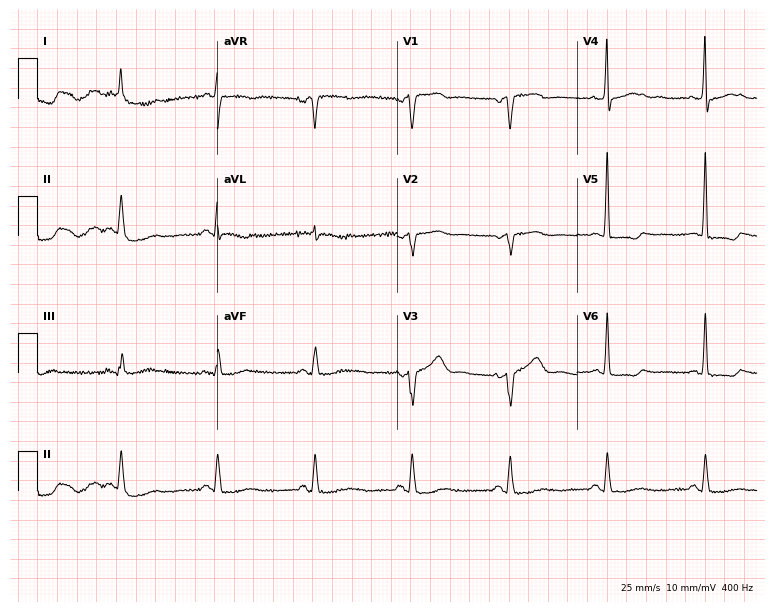
Resting 12-lead electrocardiogram. Patient: a 72-year-old woman. None of these six findings is recorded: first-degree AV block, right bundle branch block, left bundle branch block, sinus bradycardia, atrial fibrillation, sinus tachycardia. Other findings, if any, are not listed.